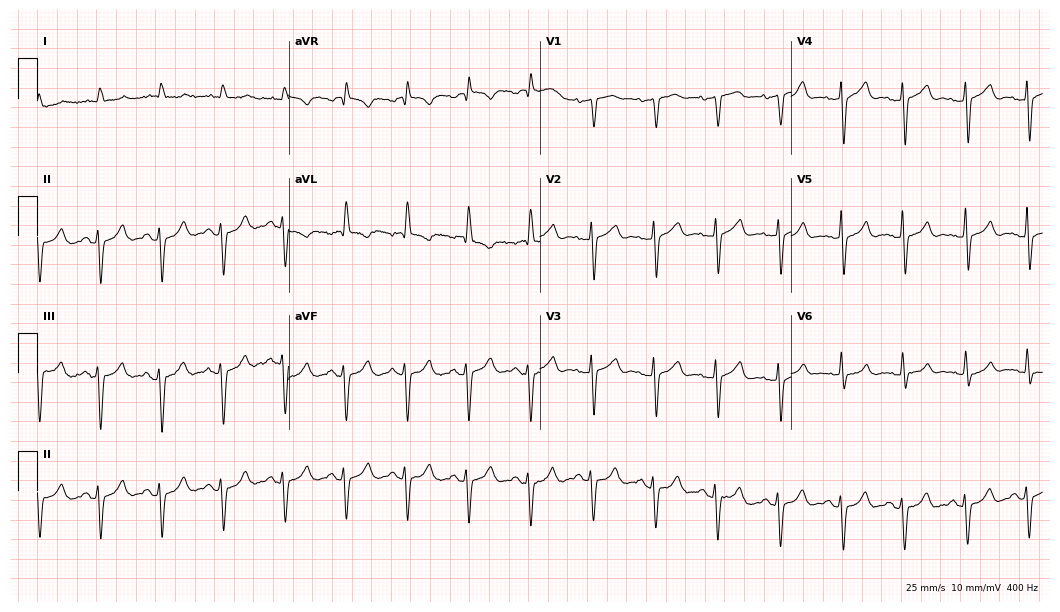
12-lead ECG (10.2-second recording at 400 Hz) from an 85-year-old male. Screened for six findings — first-degree AV block, right bundle branch block (RBBB), left bundle branch block (LBBB), sinus bradycardia, atrial fibrillation (AF), sinus tachycardia — none is recorded. Other findings, if any, are not listed.